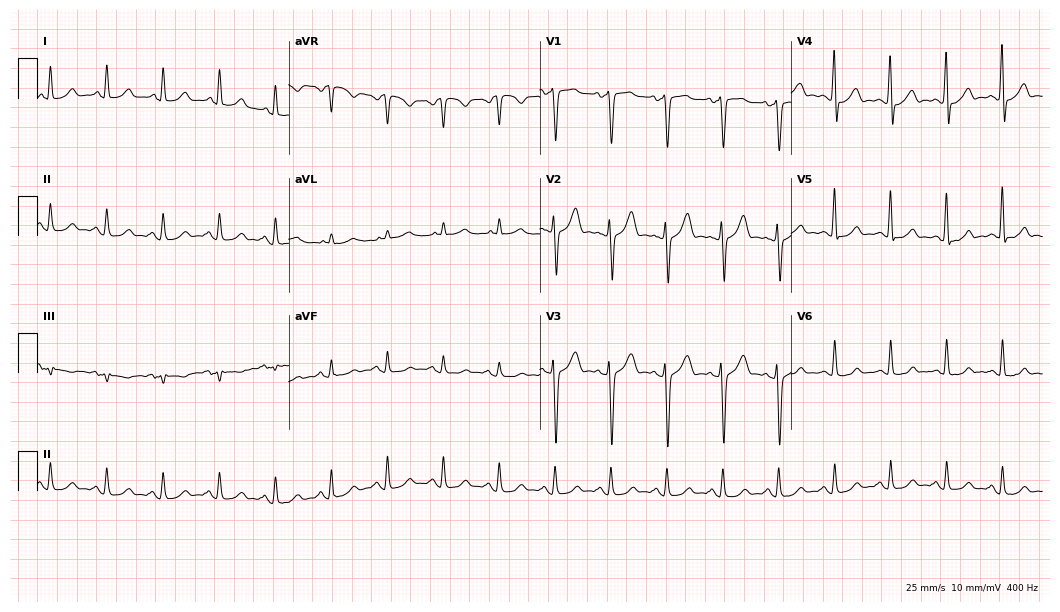
12-lead ECG from a male, 48 years old. Screened for six findings — first-degree AV block, right bundle branch block, left bundle branch block, sinus bradycardia, atrial fibrillation, sinus tachycardia — none is recorded.